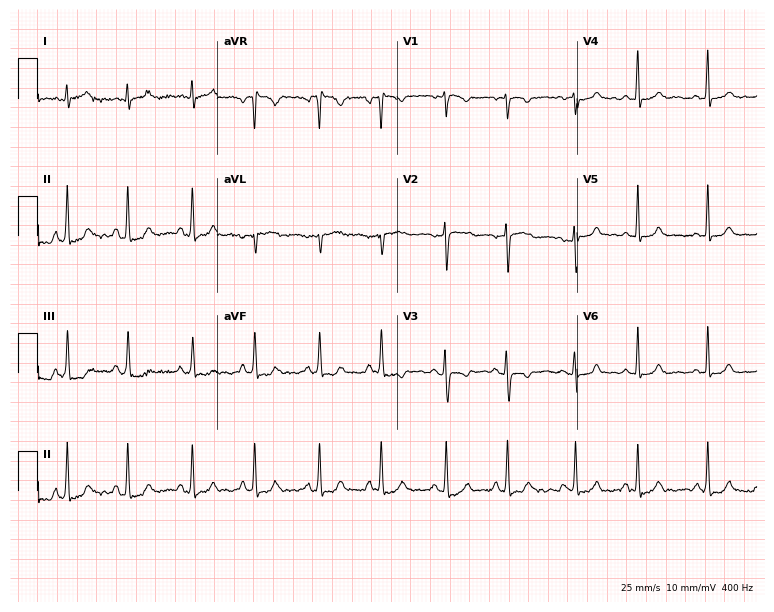
Standard 12-lead ECG recorded from a female patient, 22 years old. Read as a normal ECG.